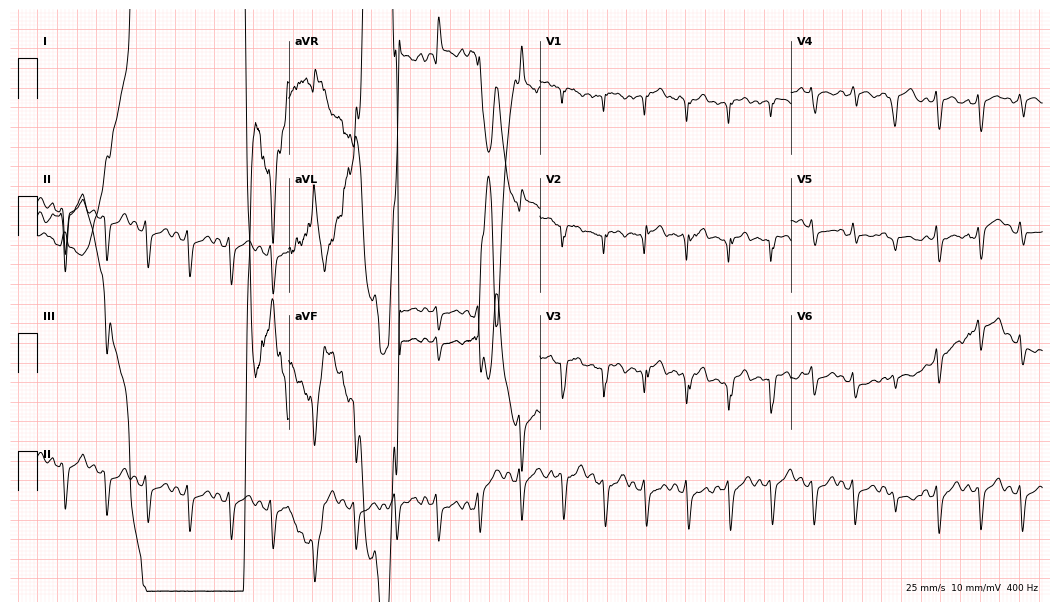
Resting 12-lead electrocardiogram (10.2-second recording at 400 Hz). Patient: a male, 54 years old. None of these six findings is recorded: first-degree AV block, right bundle branch block (RBBB), left bundle branch block (LBBB), sinus bradycardia, atrial fibrillation (AF), sinus tachycardia. Findings outside these six are not listed.